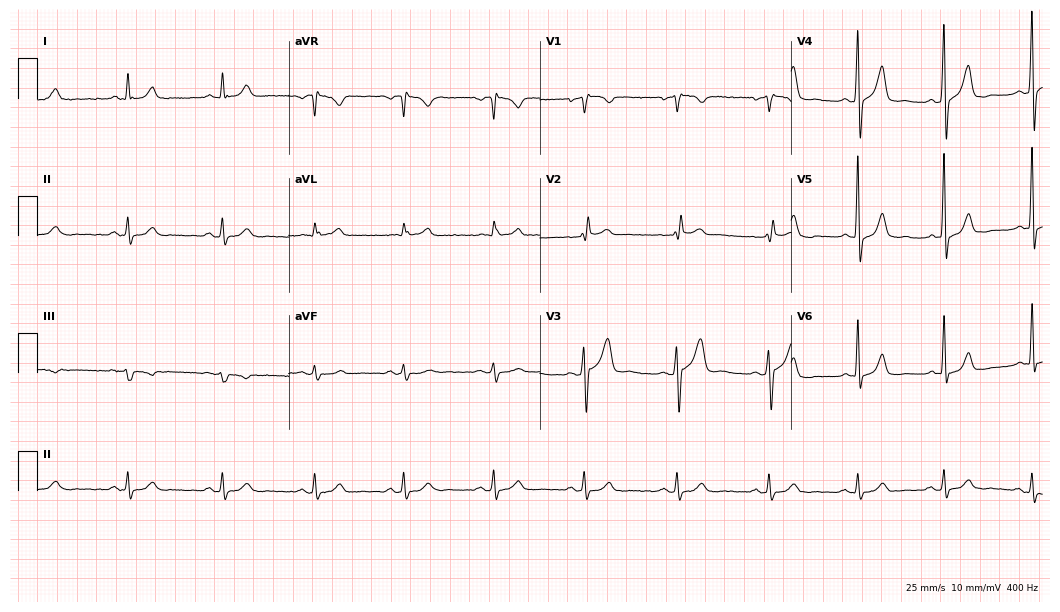
Electrocardiogram, a 42-year-old male. Of the six screened findings (first-degree AV block, right bundle branch block, left bundle branch block, sinus bradycardia, atrial fibrillation, sinus tachycardia), none is recorded.